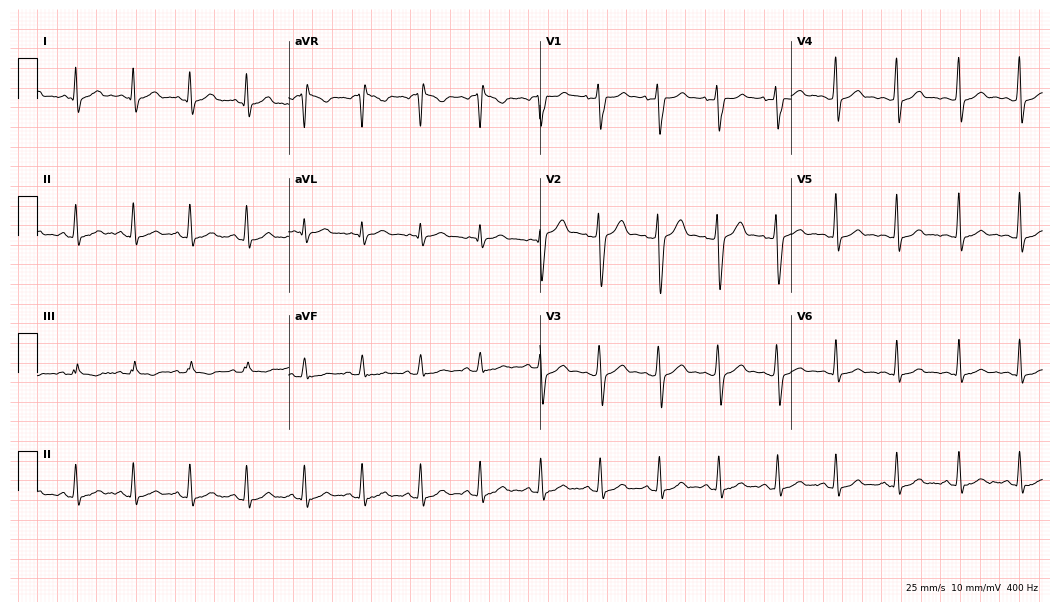
ECG — a 29-year-old male patient. Findings include sinus tachycardia (a sinus rate of 100 beats per minute or more).